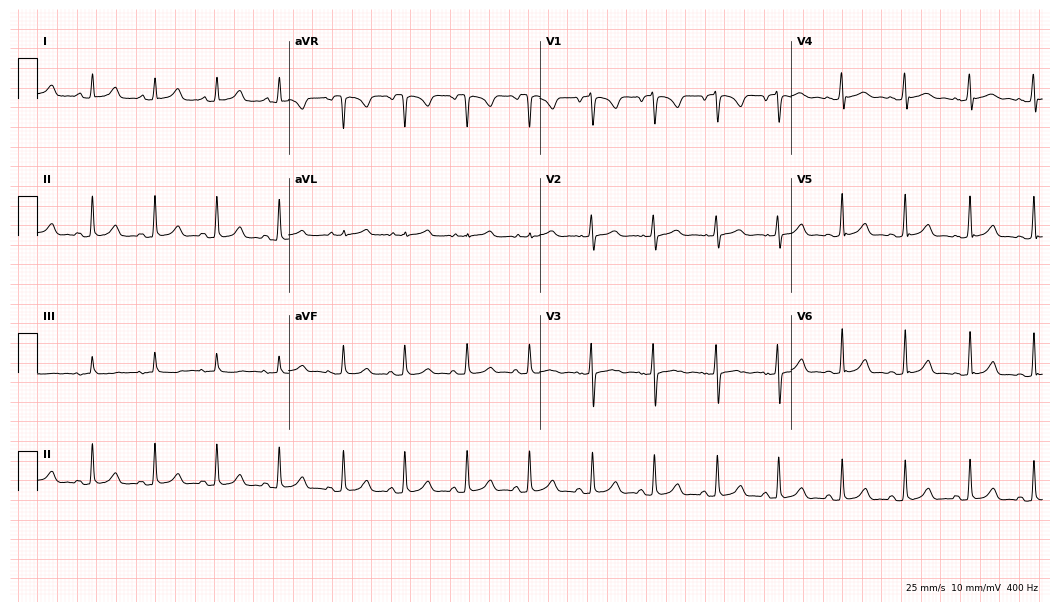
Standard 12-lead ECG recorded from a female patient, 20 years old (10.2-second recording at 400 Hz). Read as a normal ECG.